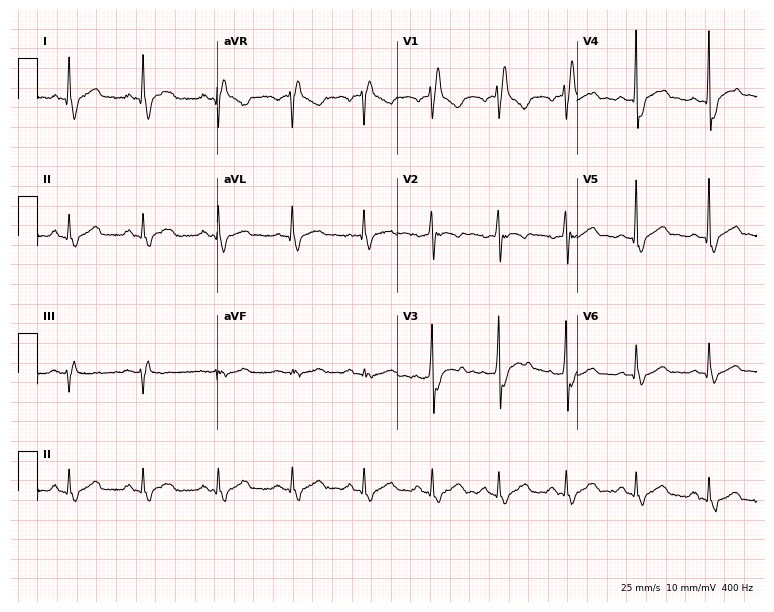
Resting 12-lead electrocardiogram (7.3-second recording at 400 Hz). Patient: a man, 47 years old. The tracing shows right bundle branch block (RBBB).